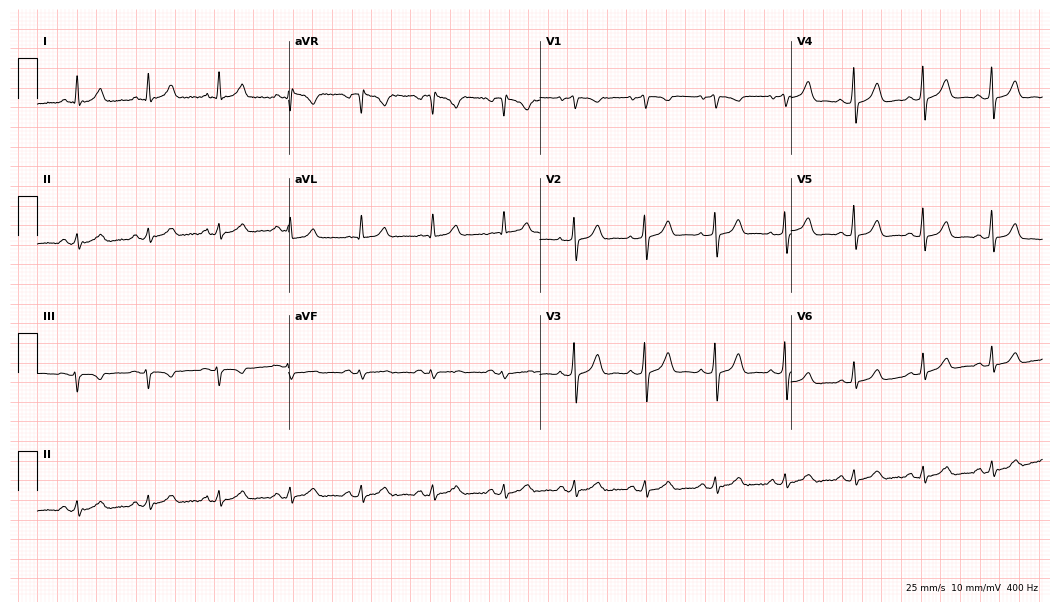
ECG — a 55-year-old male patient. Labelled as a normal ECG.